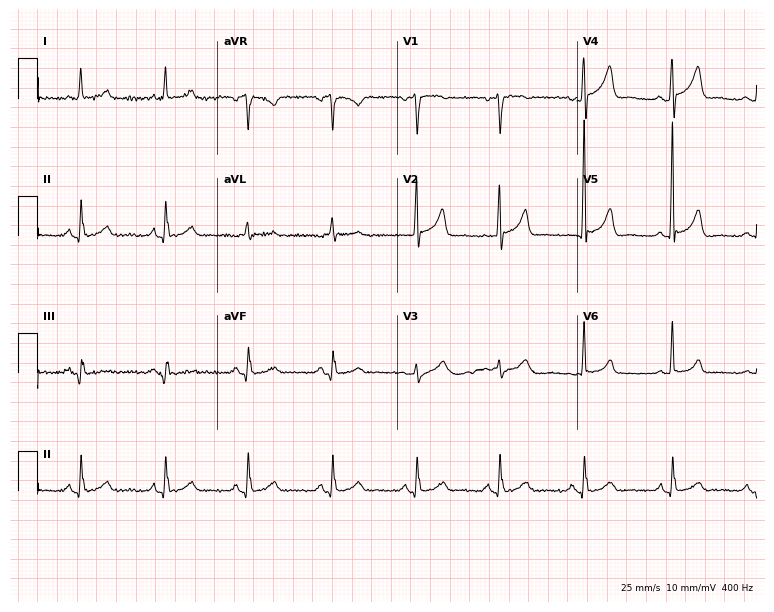
ECG (7.3-second recording at 400 Hz) — a woman, 81 years old. Labelled as a normal ECG.